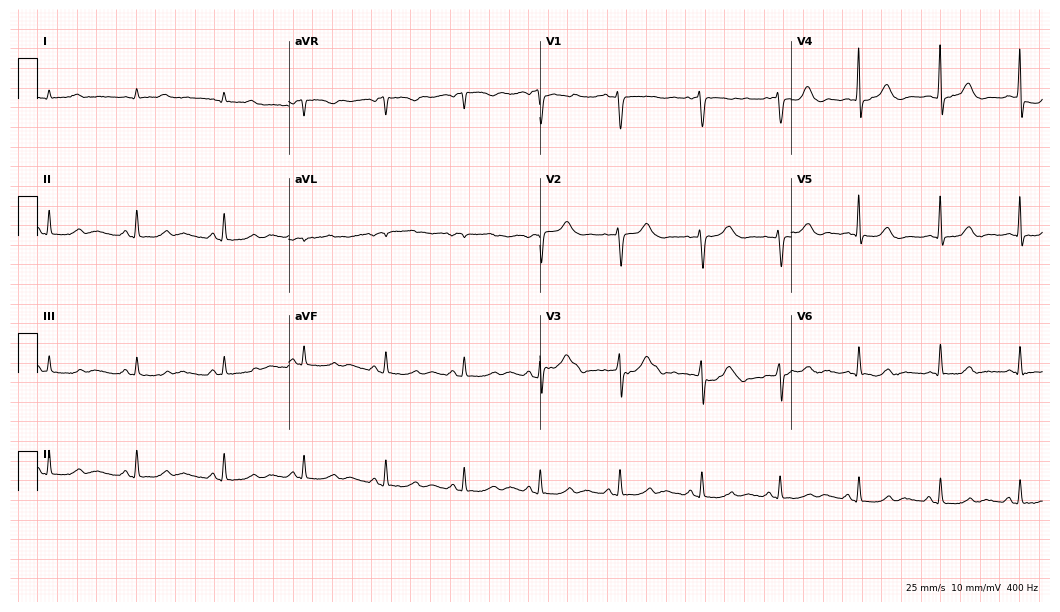
Standard 12-lead ECG recorded from a woman, 39 years old (10.2-second recording at 400 Hz). Read as a normal ECG.